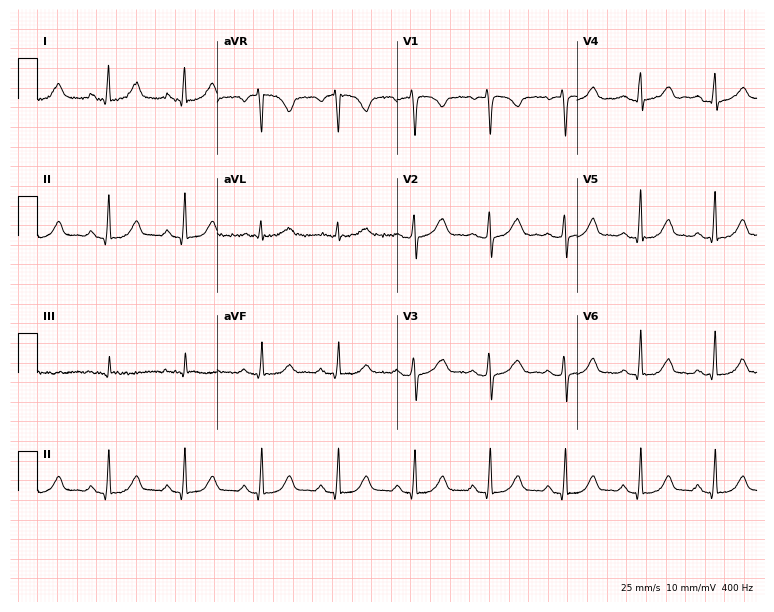
ECG — a female patient, 51 years old. Labelled as a normal ECG.